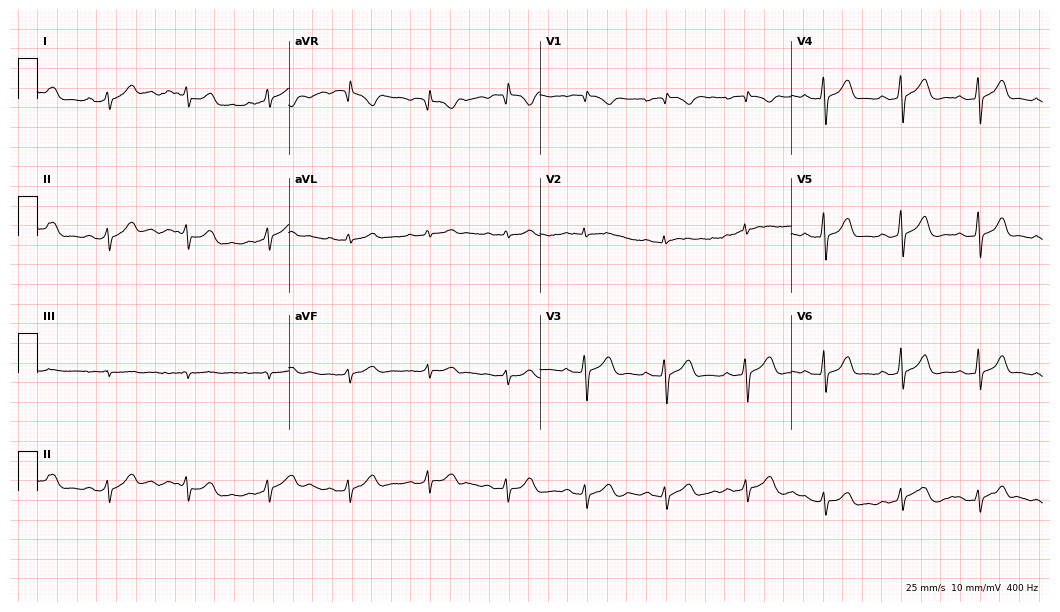
Resting 12-lead electrocardiogram. Patient: a 40-year-old female. Read as a normal ECG.